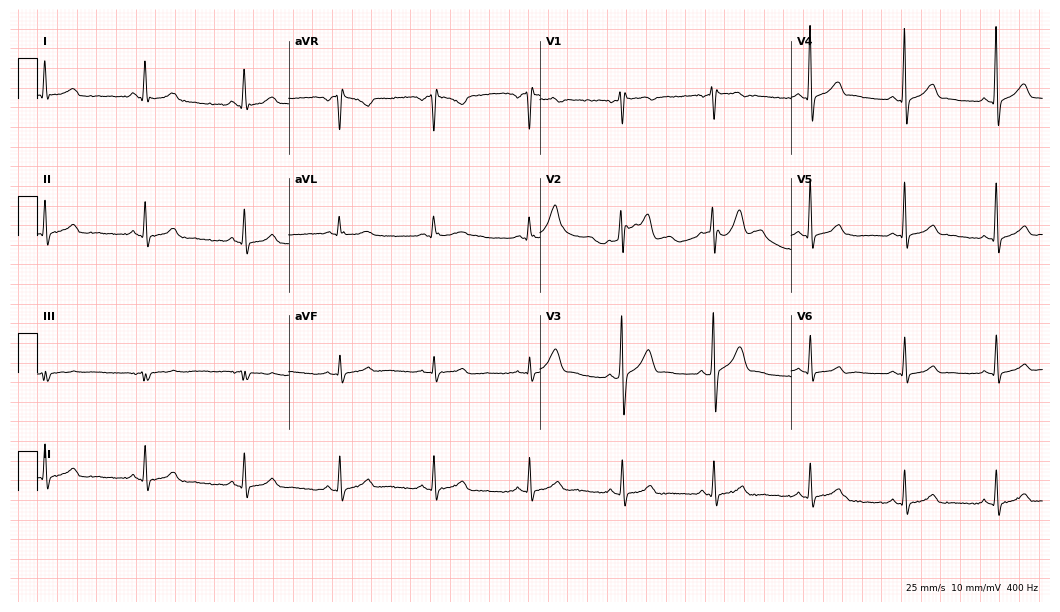
Standard 12-lead ECG recorded from a male, 34 years old. Read as a normal ECG.